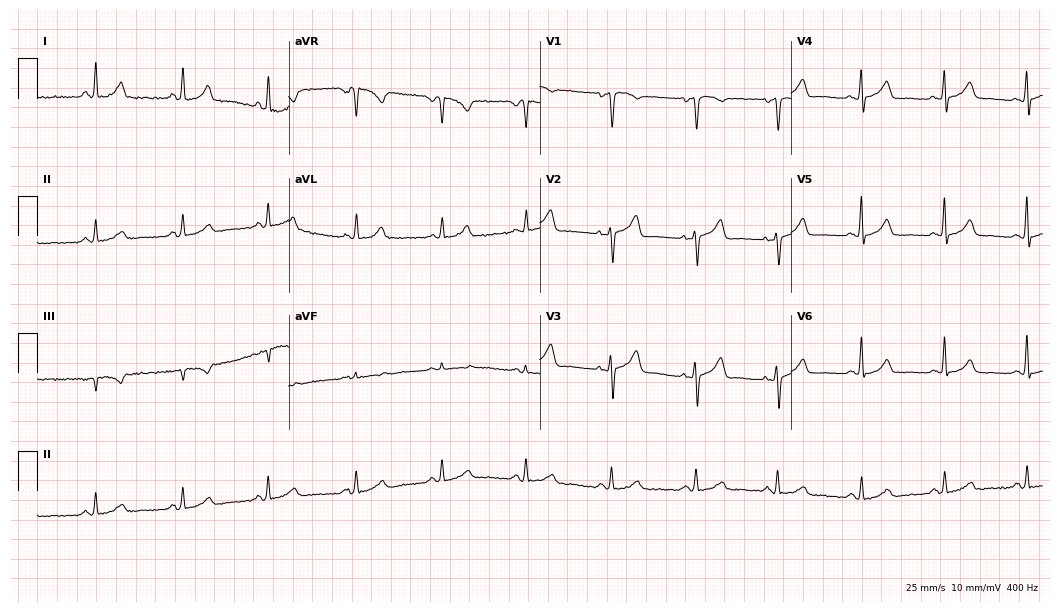
Resting 12-lead electrocardiogram (10.2-second recording at 400 Hz). Patient: a female, 52 years old. Read as a normal ECG.